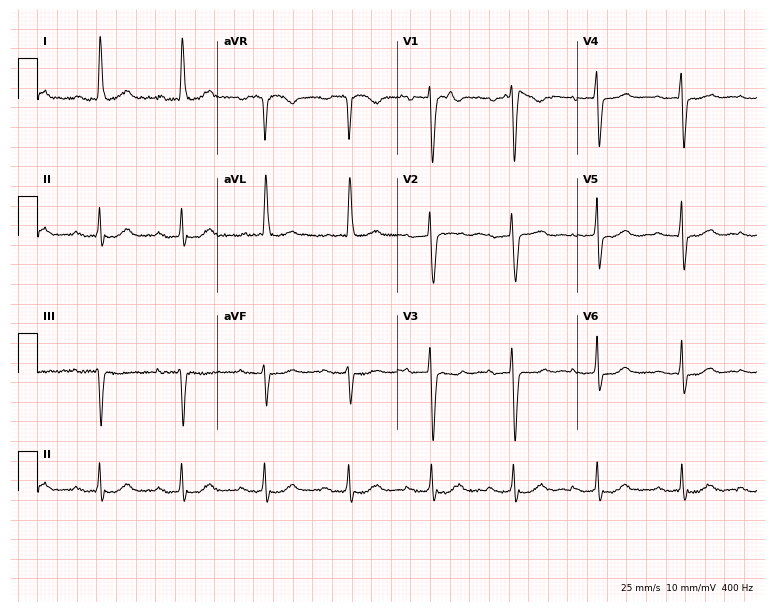
Standard 12-lead ECG recorded from a female, 79 years old (7.3-second recording at 400 Hz). None of these six findings is recorded: first-degree AV block, right bundle branch block, left bundle branch block, sinus bradycardia, atrial fibrillation, sinus tachycardia. Only these six findings were labelled.